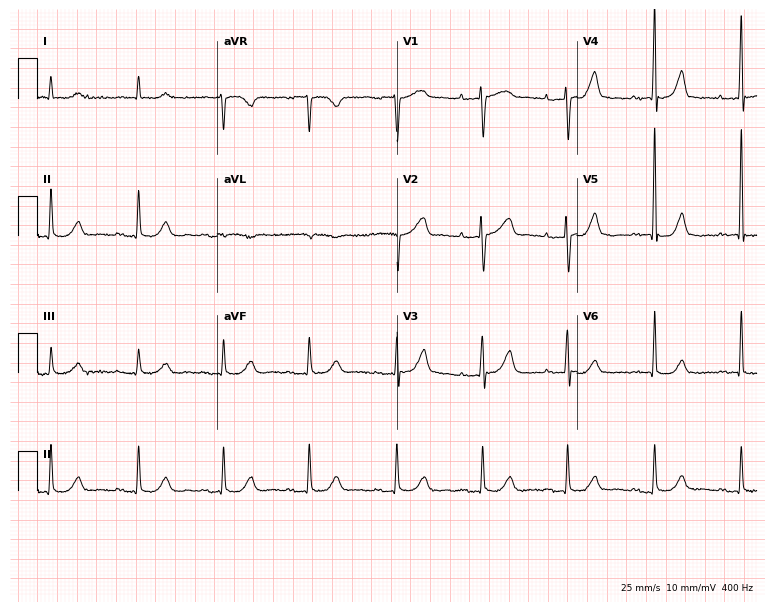
Electrocardiogram, an 84-year-old female patient. Overall reading on record: normal ECG.